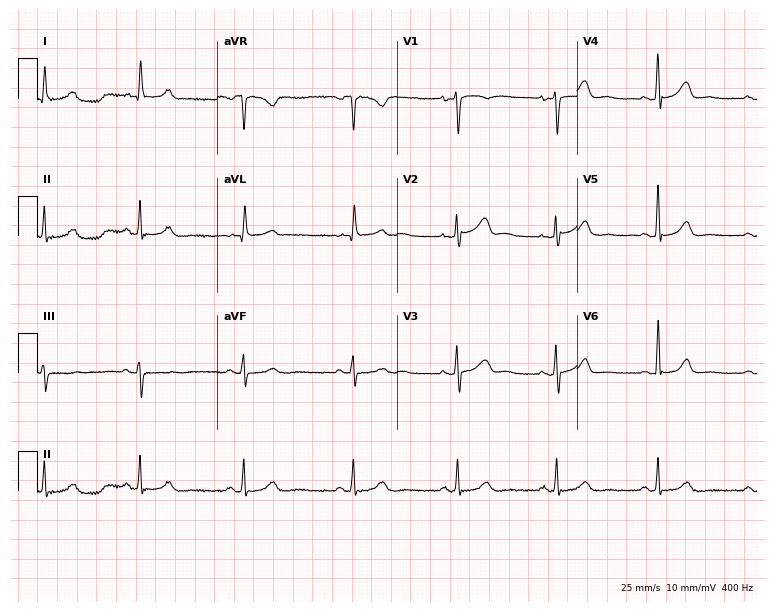
Standard 12-lead ECG recorded from a 45-year-old woman (7.3-second recording at 400 Hz). Read as a normal ECG.